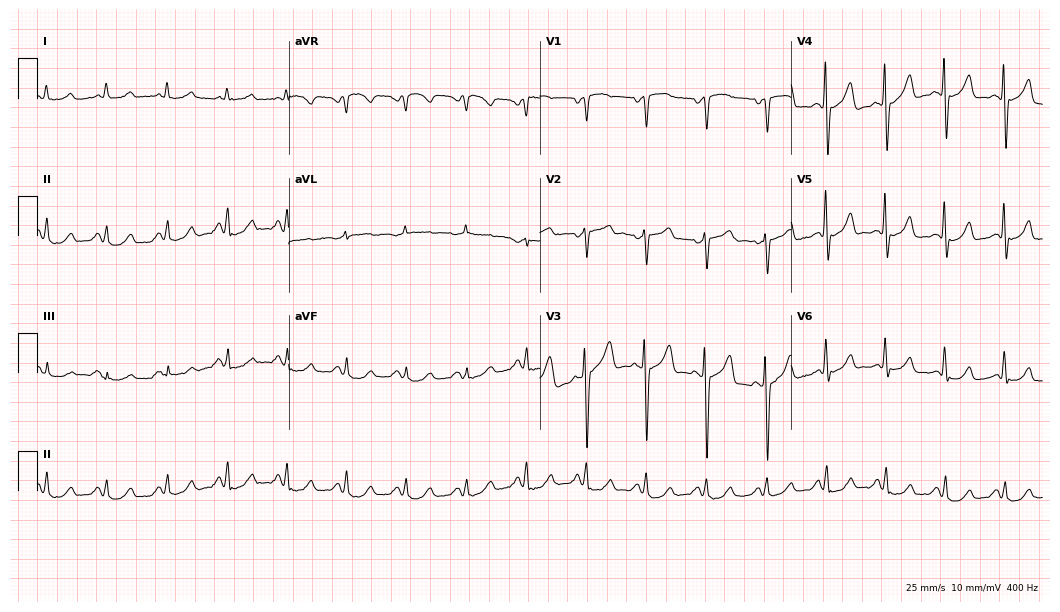
12-lead ECG from a man, 59 years old. No first-degree AV block, right bundle branch block (RBBB), left bundle branch block (LBBB), sinus bradycardia, atrial fibrillation (AF) or sinus tachycardia recorded for this tracing.